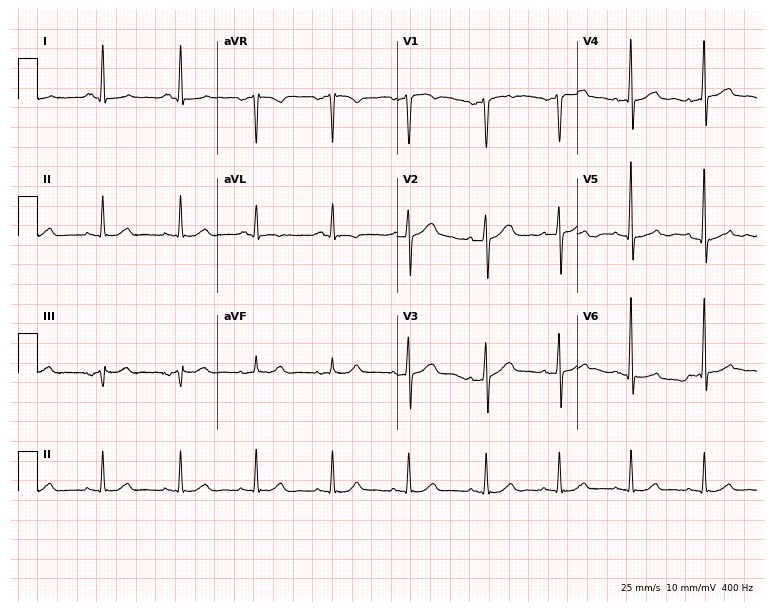
Resting 12-lead electrocardiogram. Patient: a 68-year-old man. None of these six findings is recorded: first-degree AV block, right bundle branch block, left bundle branch block, sinus bradycardia, atrial fibrillation, sinus tachycardia. Other findings, if any, are not listed.